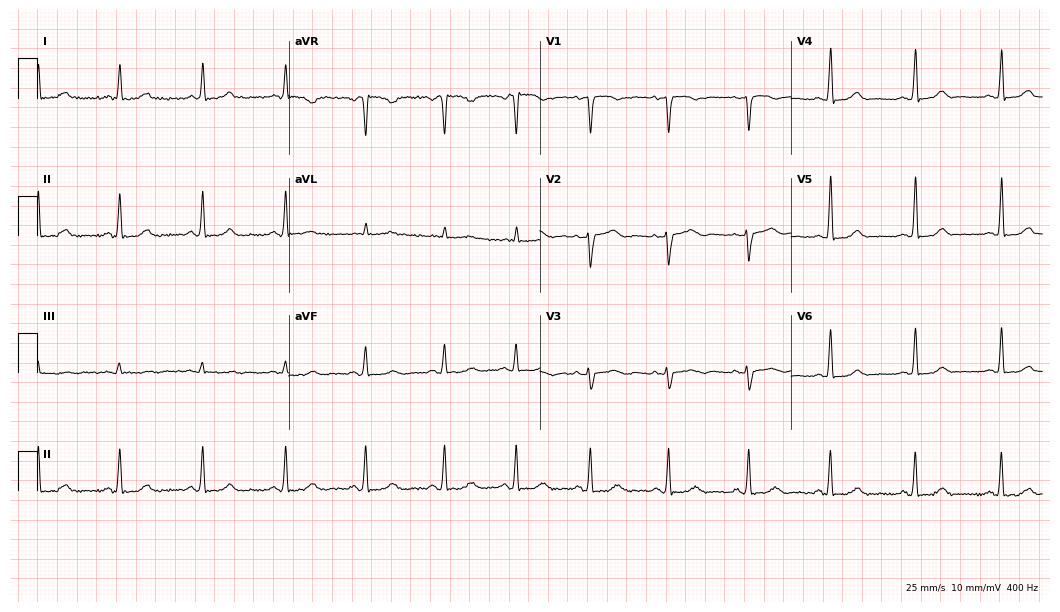
Electrocardiogram, a female patient, 45 years old. Of the six screened findings (first-degree AV block, right bundle branch block (RBBB), left bundle branch block (LBBB), sinus bradycardia, atrial fibrillation (AF), sinus tachycardia), none is recorded. Other findings, if any, are not listed.